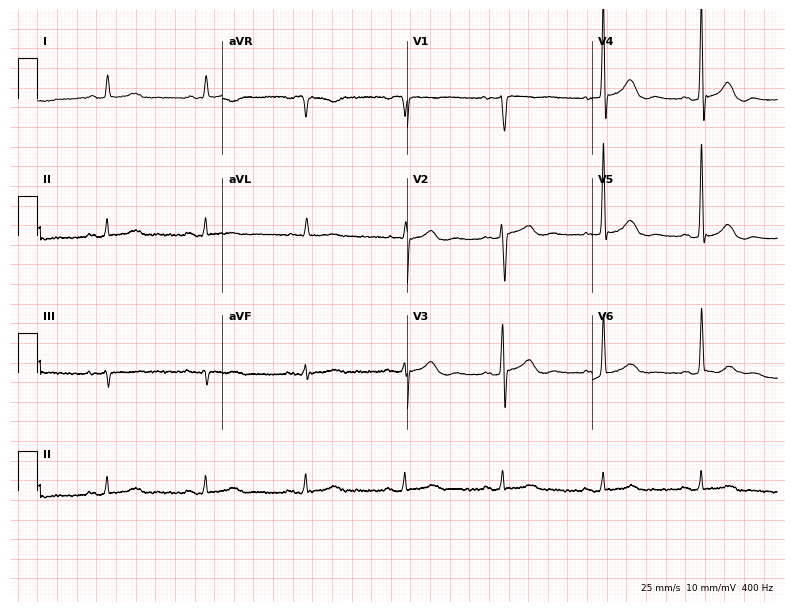
Standard 12-lead ECG recorded from a female patient, 83 years old (7.5-second recording at 400 Hz). Read as a normal ECG.